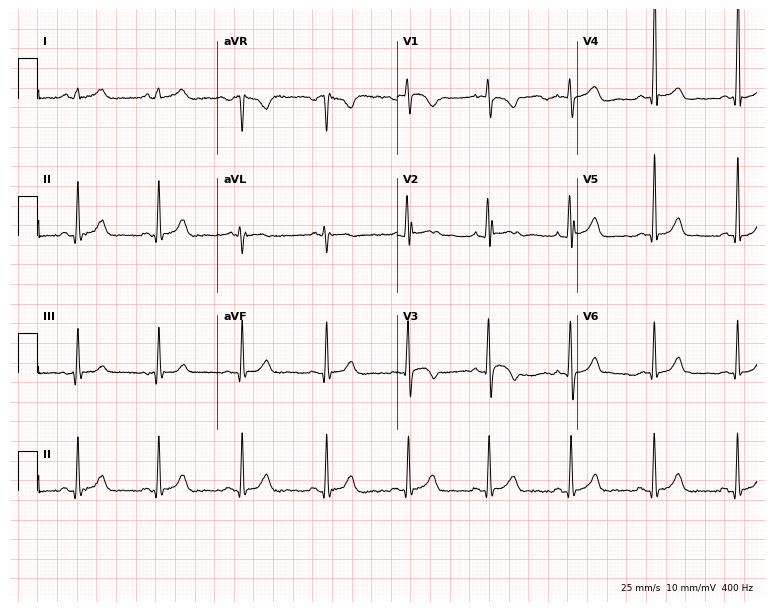
Resting 12-lead electrocardiogram. Patient: a 17-year-old man. Read as a normal ECG.